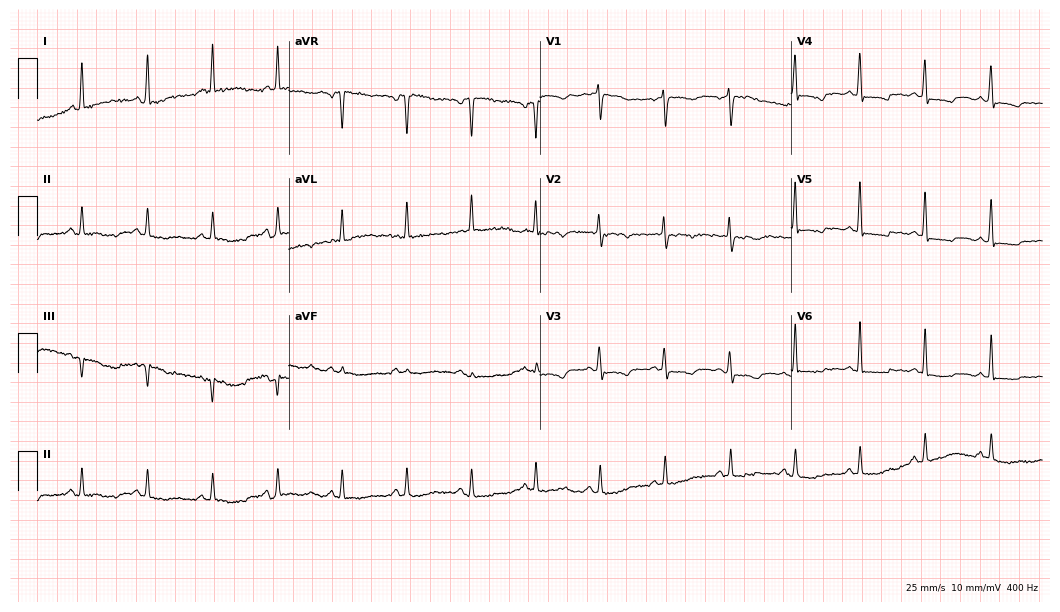
12-lead ECG from a 57-year-old female. No first-degree AV block, right bundle branch block, left bundle branch block, sinus bradycardia, atrial fibrillation or sinus tachycardia recorded for this tracing.